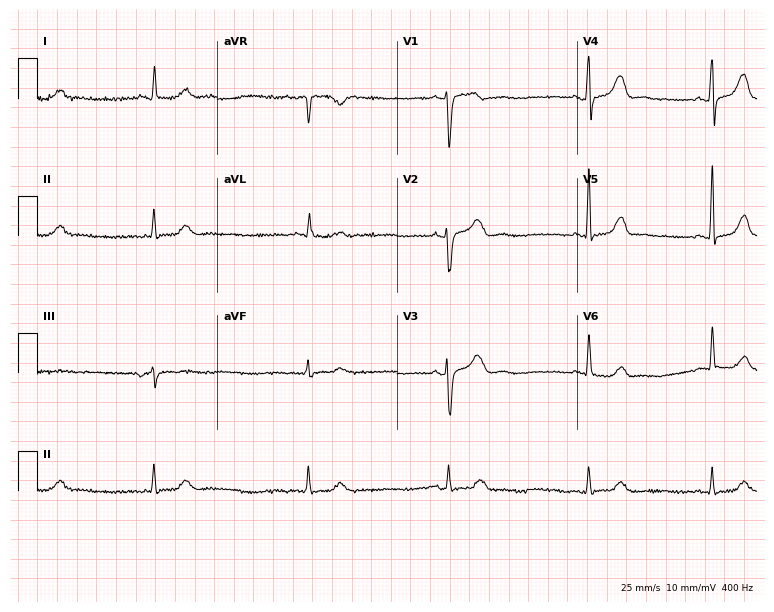
Standard 12-lead ECG recorded from a woman, 53 years old. None of these six findings is recorded: first-degree AV block, right bundle branch block, left bundle branch block, sinus bradycardia, atrial fibrillation, sinus tachycardia. Only these six findings were labelled.